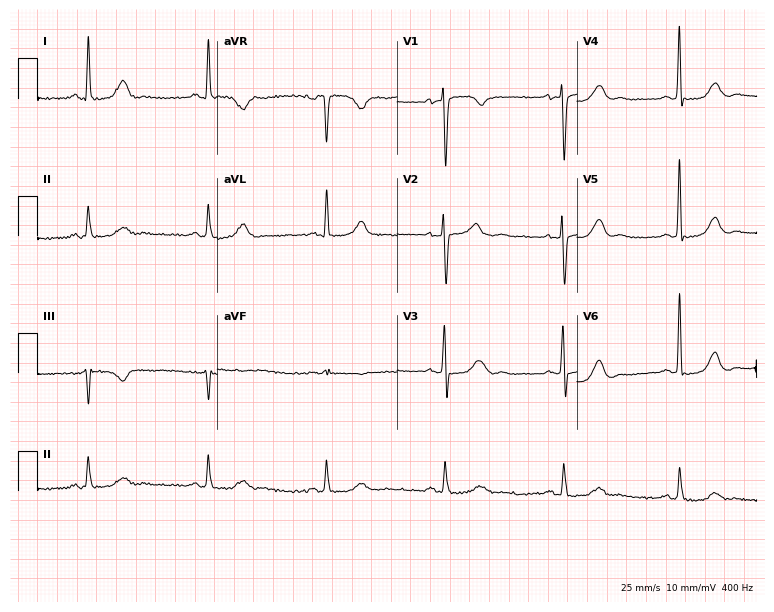
ECG — a 55-year-old female. Screened for six findings — first-degree AV block, right bundle branch block, left bundle branch block, sinus bradycardia, atrial fibrillation, sinus tachycardia — none is recorded.